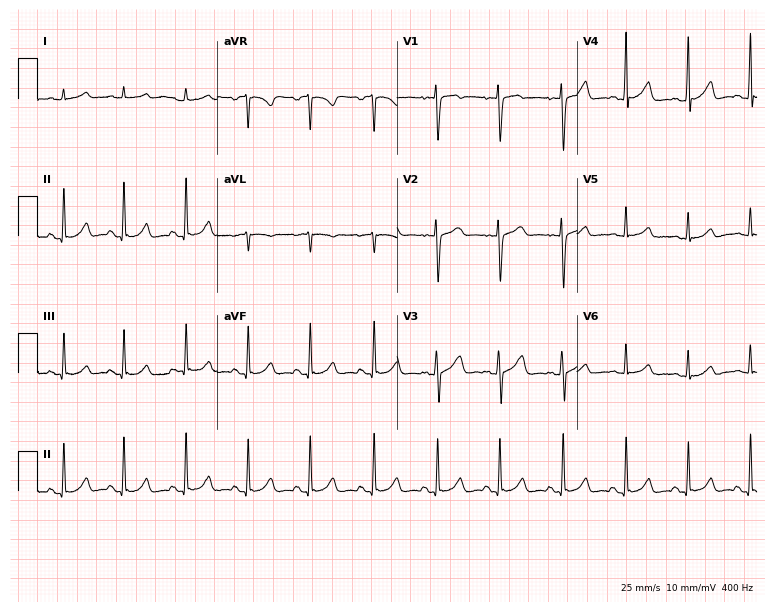
12-lead ECG from a 22-year-old female. Labelled as a normal ECG.